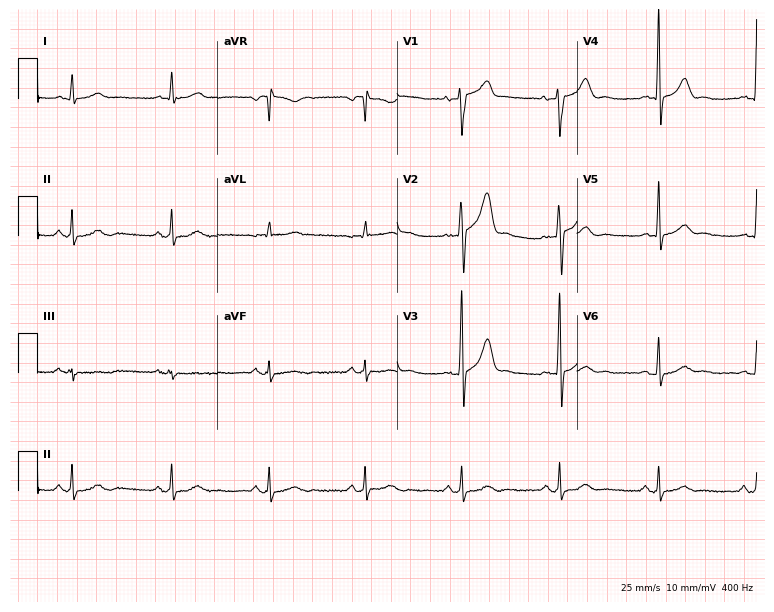
Resting 12-lead electrocardiogram (7.3-second recording at 400 Hz). Patient: a male, 62 years old. Read as a normal ECG.